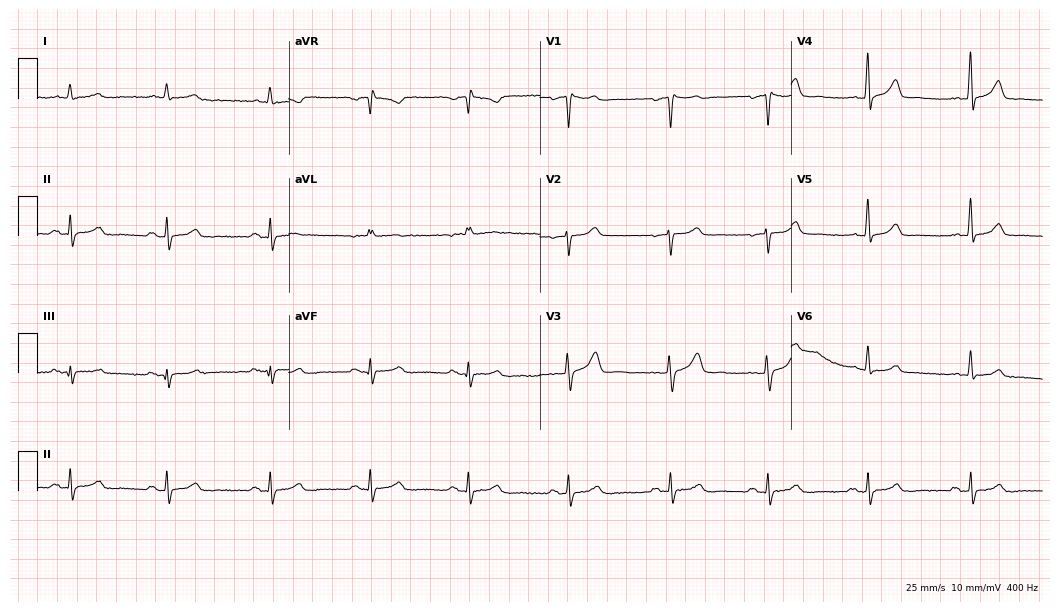
12-lead ECG from a 46-year-old man (10.2-second recording at 400 Hz). No first-degree AV block, right bundle branch block (RBBB), left bundle branch block (LBBB), sinus bradycardia, atrial fibrillation (AF) or sinus tachycardia recorded for this tracing.